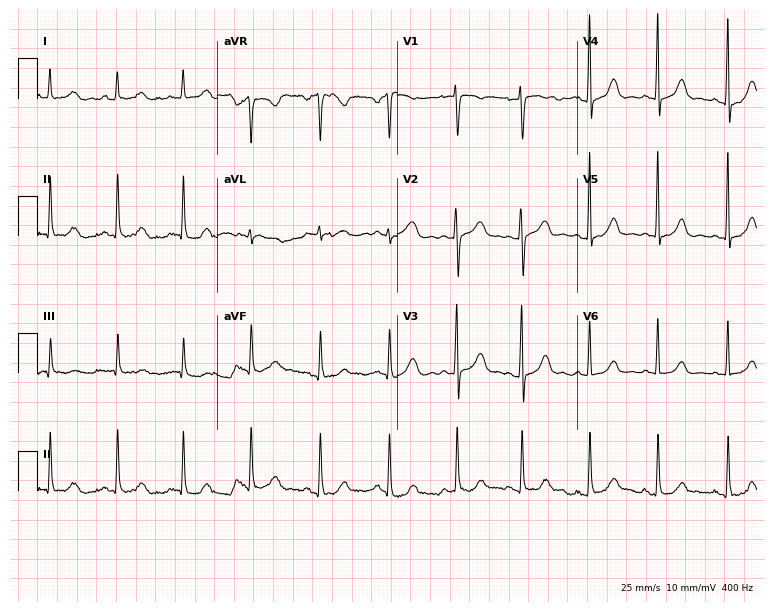
12-lead ECG from a female patient, 42 years old. Labelled as a normal ECG.